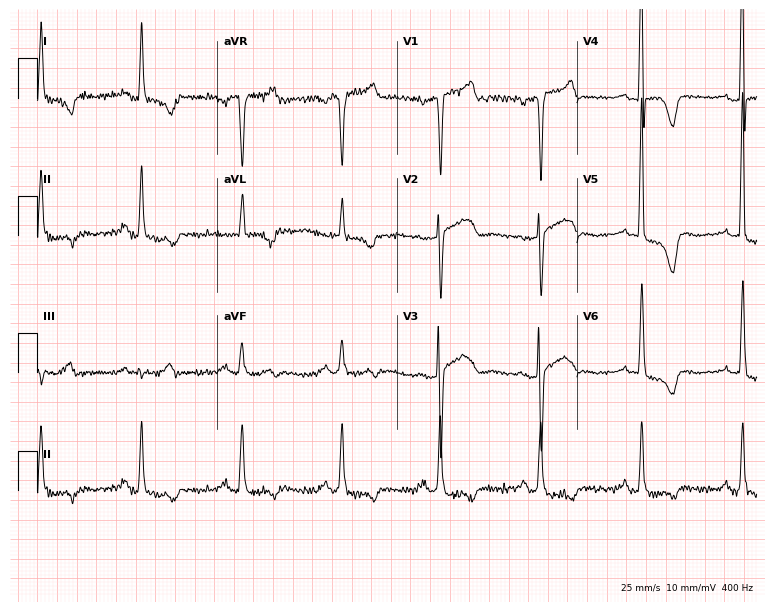
12-lead ECG (7.3-second recording at 400 Hz) from a female, 80 years old. Screened for six findings — first-degree AV block, right bundle branch block, left bundle branch block, sinus bradycardia, atrial fibrillation, sinus tachycardia — none is recorded.